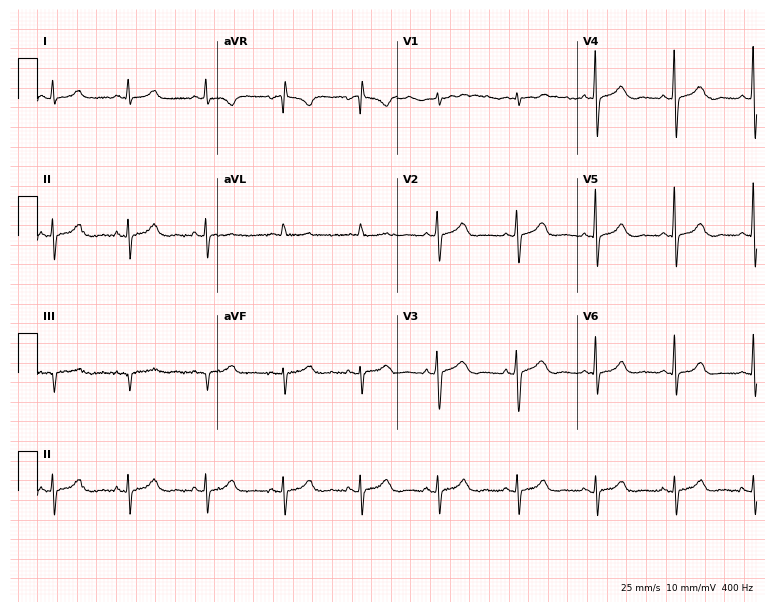
Resting 12-lead electrocardiogram. Patient: a 68-year-old woman. None of these six findings is recorded: first-degree AV block, right bundle branch block (RBBB), left bundle branch block (LBBB), sinus bradycardia, atrial fibrillation (AF), sinus tachycardia. Other findings, if any, are not listed.